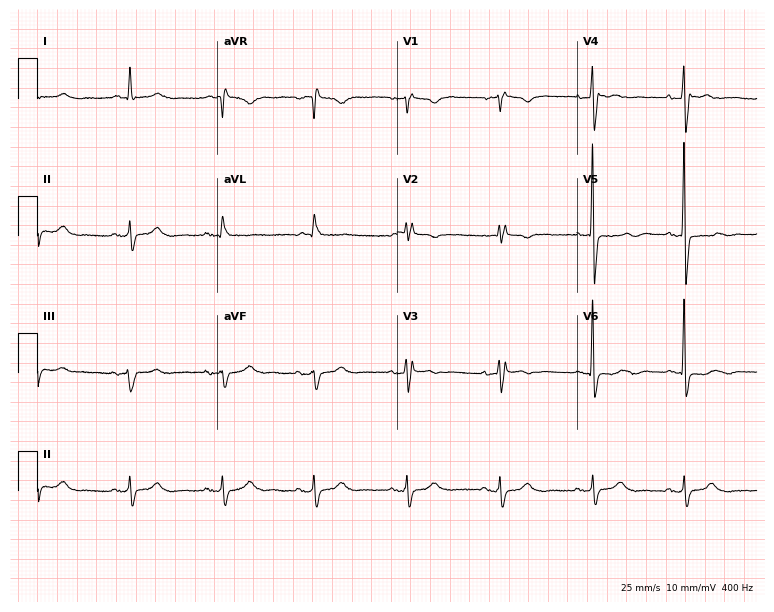
12-lead ECG from a female patient, 70 years old. Screened for six findings — first-degree AV block, right bundle branch block (RBBB), left bundle branch block (LBBB), sinus bradycardia, atrial fibrillation (AF), sinus tachycardia — none is recorded. Other findings, if any, are not listed.